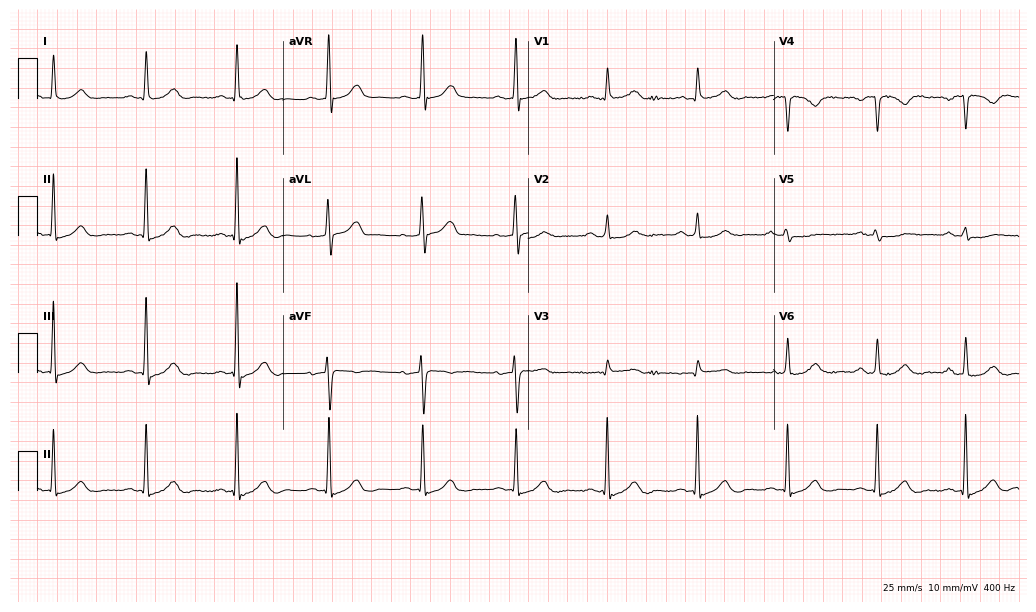
ECG — a 74-year-old male patient. Screened for six findings — first-degree AV block, right bundle branch block (RBBB), left bundle branch block (LBBB), sinus bradycardia, atrial fibrillation (AF), sinus tachycardia — none is recorded. Other findings, if any, are not listed.